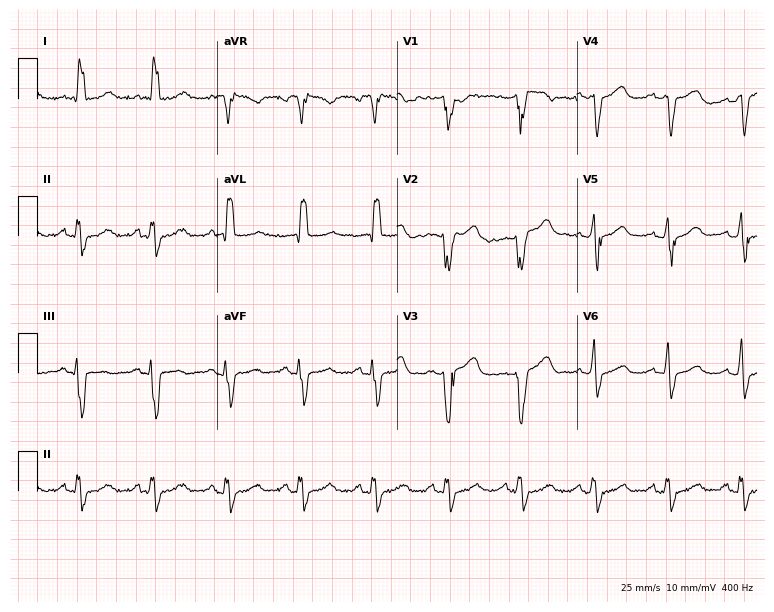
12-lead ECG (7.3-second recording at 400 Hz) from a 74-year-old female. Findings include left bundle branch block.